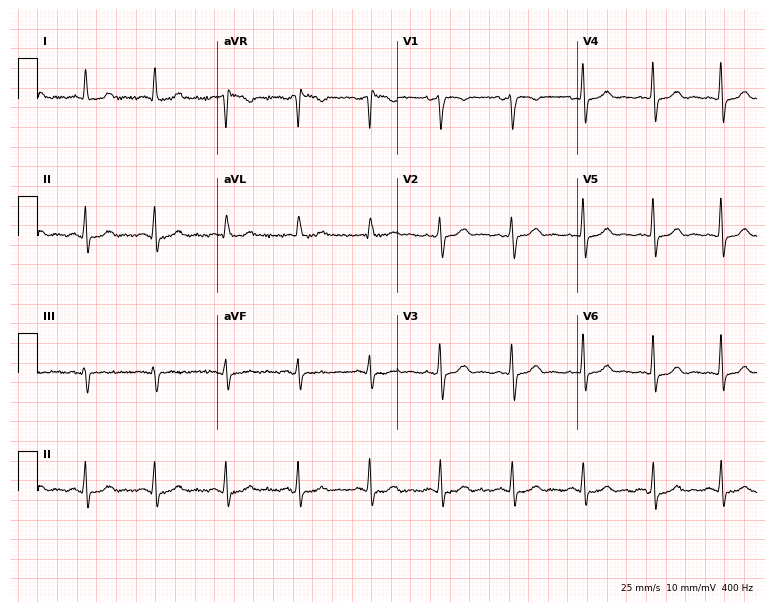
Resting 12-lead electrocardiogram. Patient: a 40-year-old female. None of these six findings is recorded: first-degree AV block, right bundle branch block, left bundle branch block, sinus bradycardia, atrial fibrillation, sinus tachycardia.